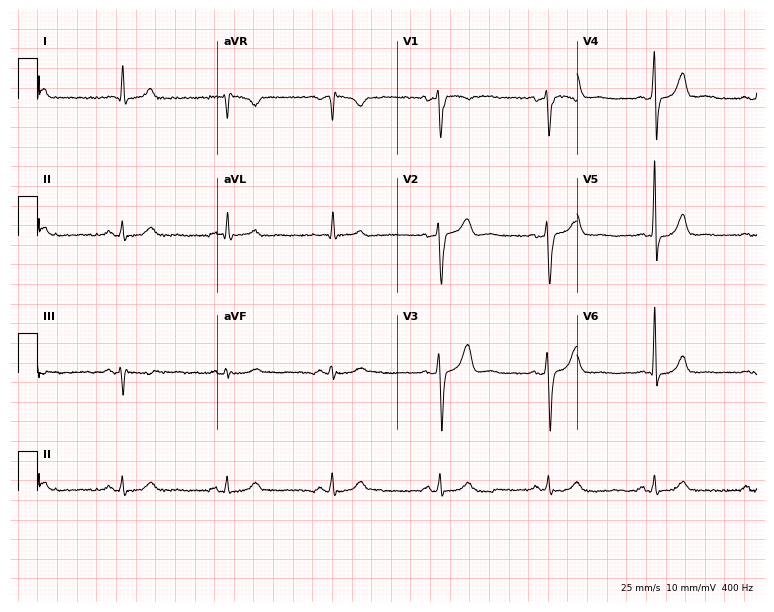
Resting 12-lead electrocardiogram (7.3-second recording at 400 Hz). Patient: a 50-year-old male. None of these six findings is recorded: first-degree AV block, right bundle branch block, left bundle branch block, sinus bradycardia, atrial fibrillation, sinus tachycardia. Only these six findings were labelled.